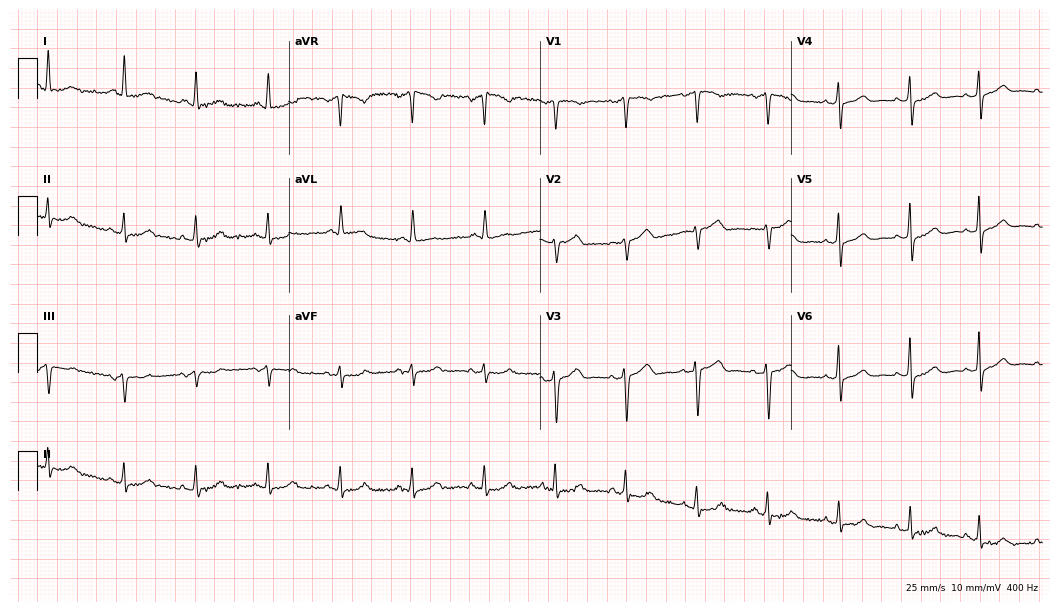
Standard 12-lead ECG recorded from a 64-year-old woman (10.2-second recording at 400 Hz). Read as a normal ECG.